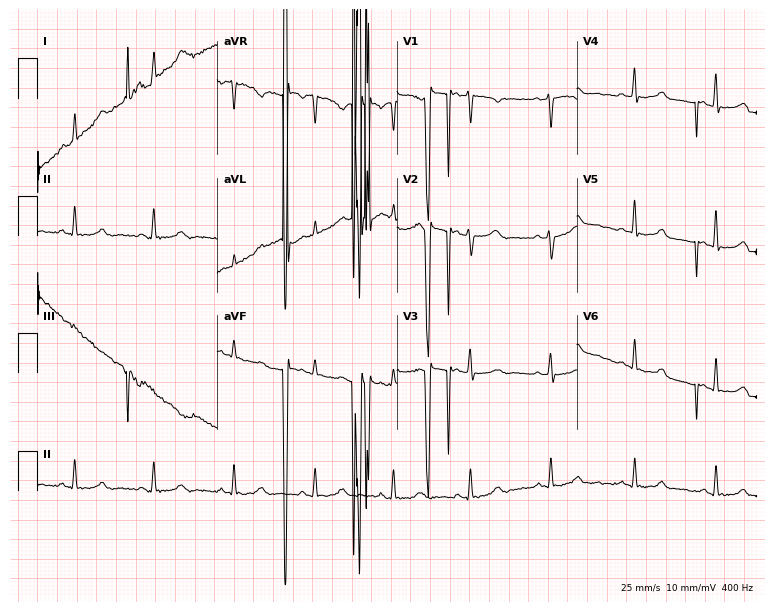
Standard 12-lead ECG recorded from a 42-year-old female patient. None of these six findings is recorded: first-degree AV block, right bundle branch block (RBBB), left bundle branch block (LBBB), sinus bradycardia, atrial fibrillation (AF), sinus tachycardia. Other findings, if any, are not listed.